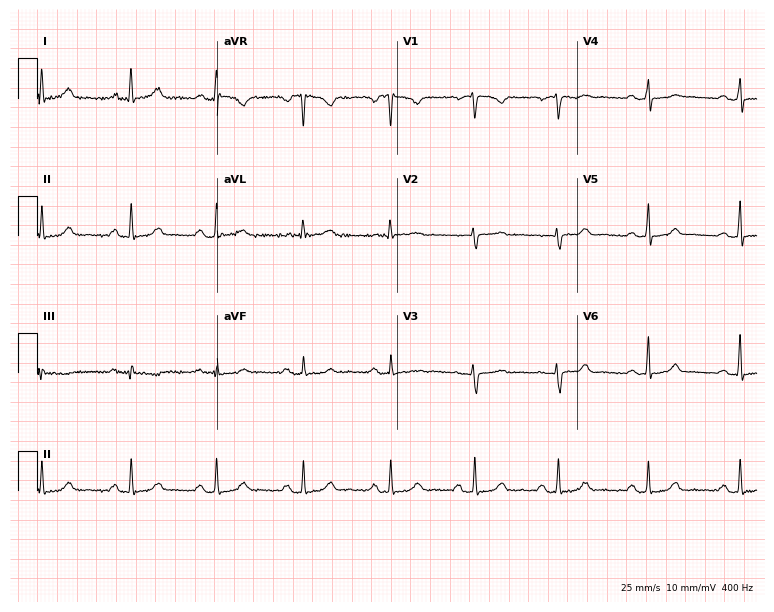
Standard 12-lead ECG recorded from a woman, 45 years old. Read as a normal ECG.